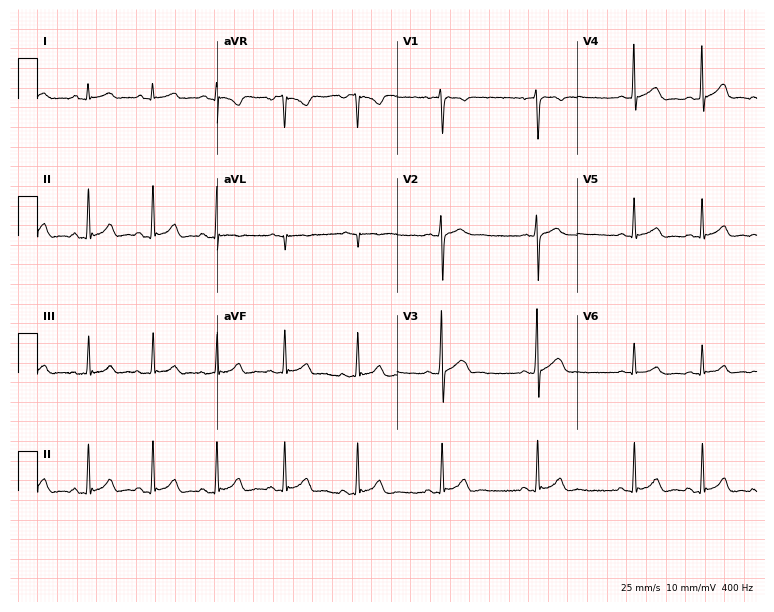
12-lead ECG from a 36-year-old female. Recorded interpretation: within normal limits.